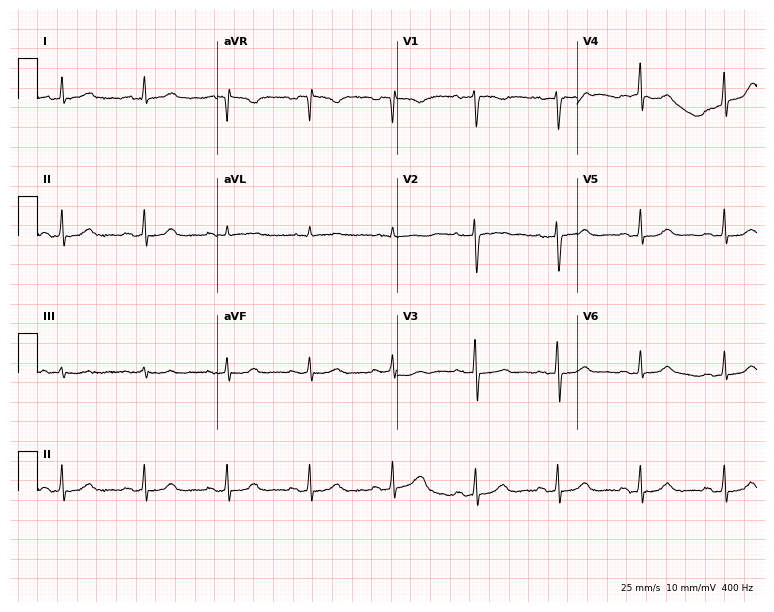
Electrocardiogram, a female, 49 years old. Of the six screened findings (first-degree AV block, right bundle branch block (RBBB), left bundle branch block (LBBB), sinus bradycardia, atrial fibrillation (AF), sinus tachycardia), none is recorded. Findings outside these six are not listed.